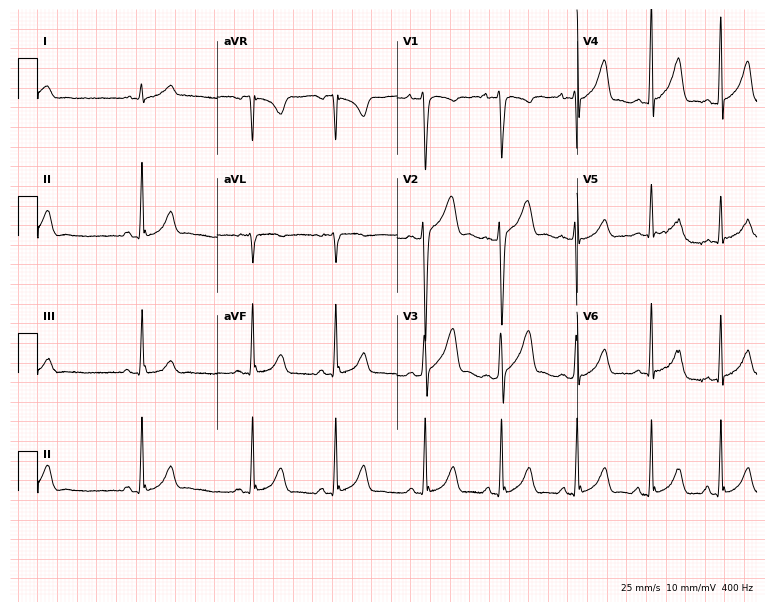
12-lead ECG from a 20-year-old man (7.3-second recording at 400 Hz). Recorded interpretation: within normal limits.